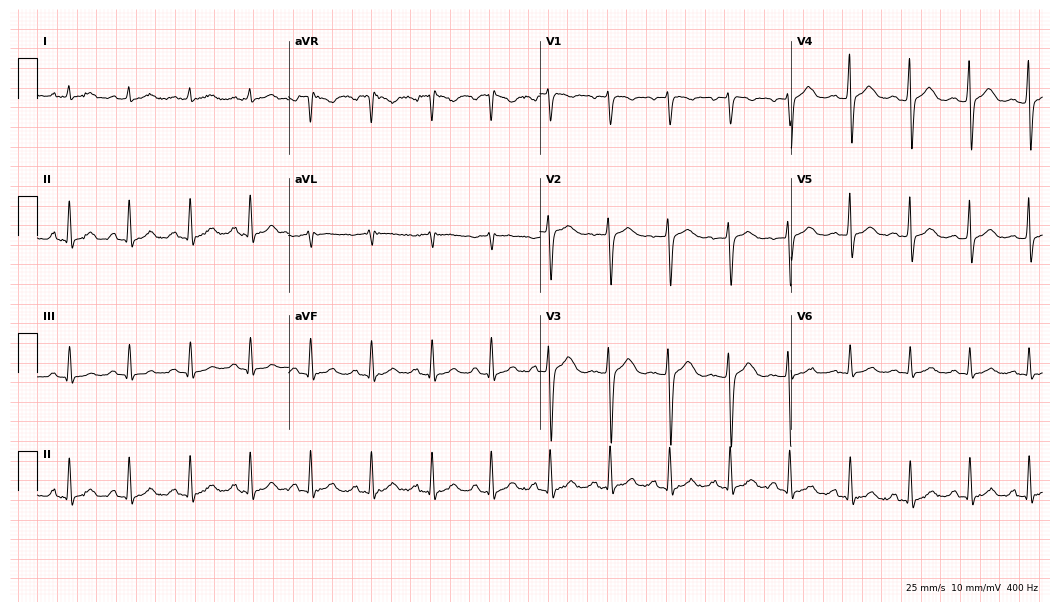
Resting 12-lead electrocardiogram (10.2-second recording at 400 Hz). Patient: a woman, 22 years old. Read as a normal ECG.